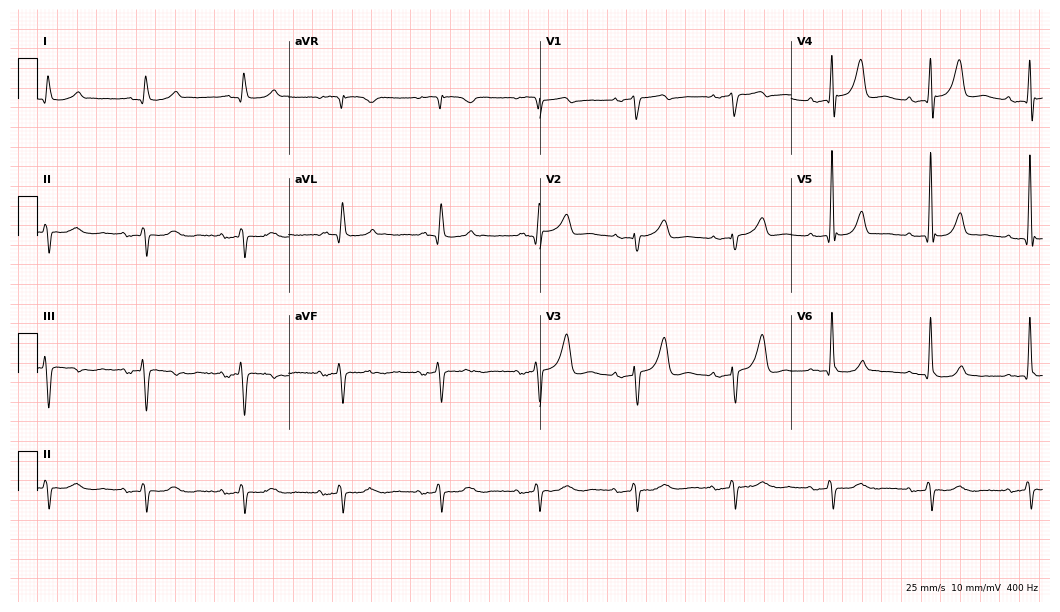
12-lead ECG (10.2-second recording at 400 Hz) from a 77-year-old male. Findings include left bundle branch block (LBBB).